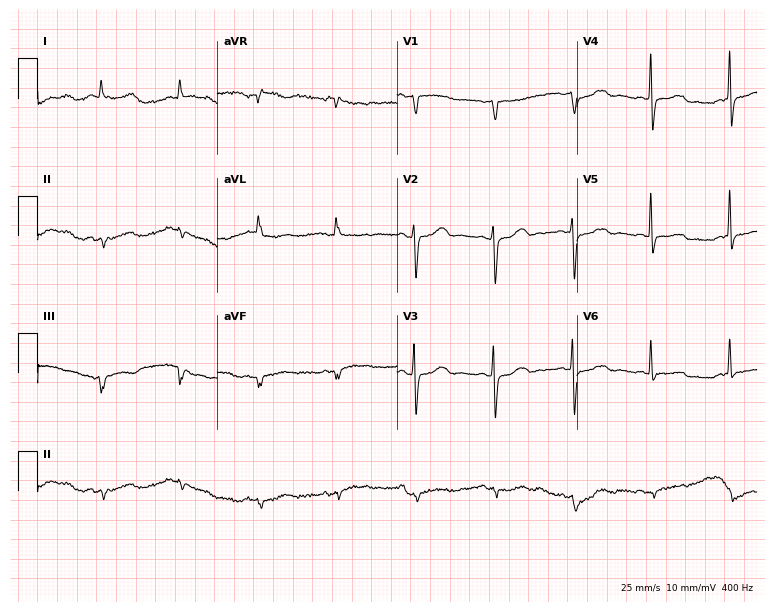
ECG (7.3-second recording at 400 Hz) — a 70-year-old female. Screened for six findings — first-degree AV block, right bundle branch block (RBBB), left bundle branch block (LBBB), sinus bradycardia, atrial fibrillation (AF), sinus tachycardia — none is recorded. Other findings, if any, are not listed.